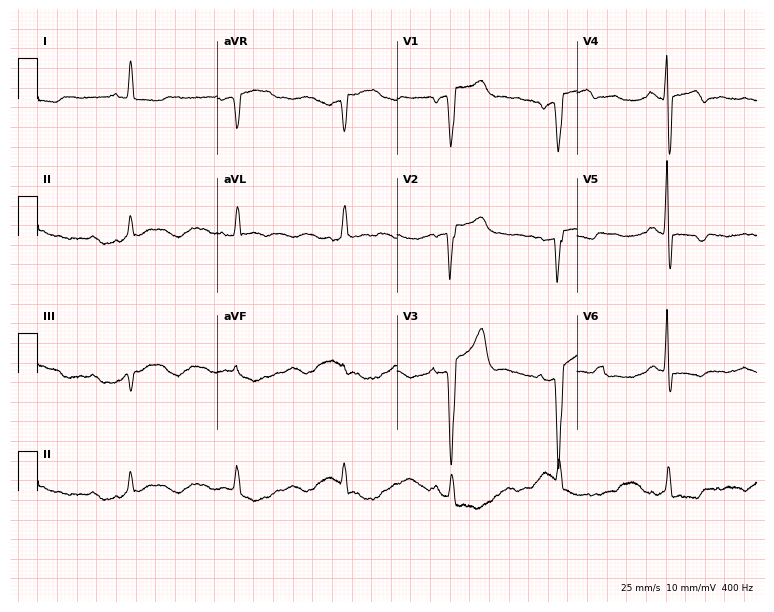
Electrocardiogram (7.3-second recording at 400 Hz), a 69-year-old man. Of the six screened findings (first-degree AV block, right bundle branch block, left bundle branch block, sinus bradycardia, atrial fibrillation, sinus tachycardia), none is recorded.